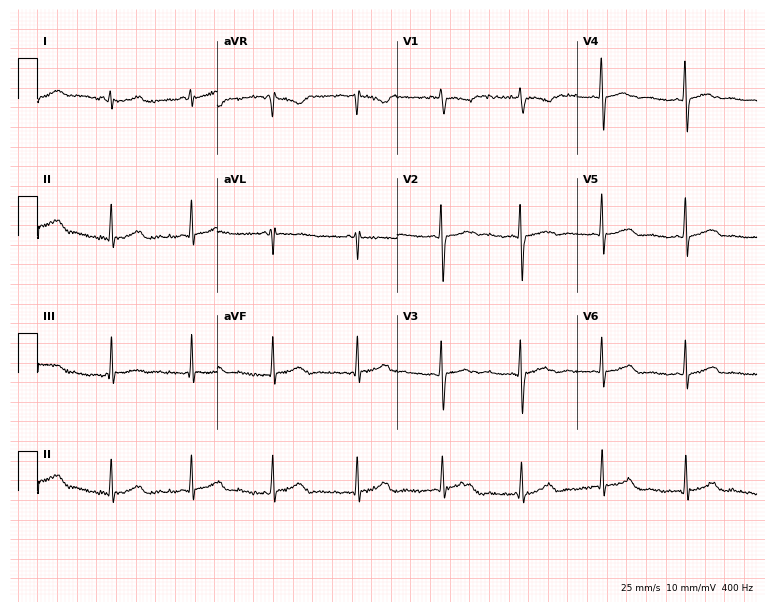
Electrocardiogram, a 25-year-old woman. Of the six screened findings (first-degree AV block, right bundle branch block, left bundle branch block, sinus bradycardia, atrial fibrillation, sinus tachycardia), none is recorded.